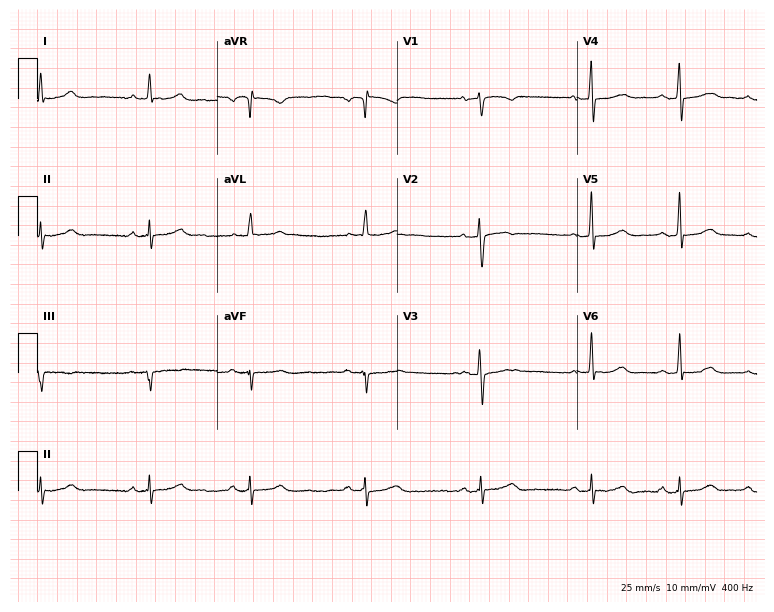
Standard 12-lead ECG recorded from a 62-year-old female patient (7.3-second recording at 400 Hz). None of these six findings is recorded: first-degree AV block, right bundle branch block (RBBB), left bundle branch block (LBBB), sinus bradycardia, atrial fibrillation (AF), sinus tachycardia.